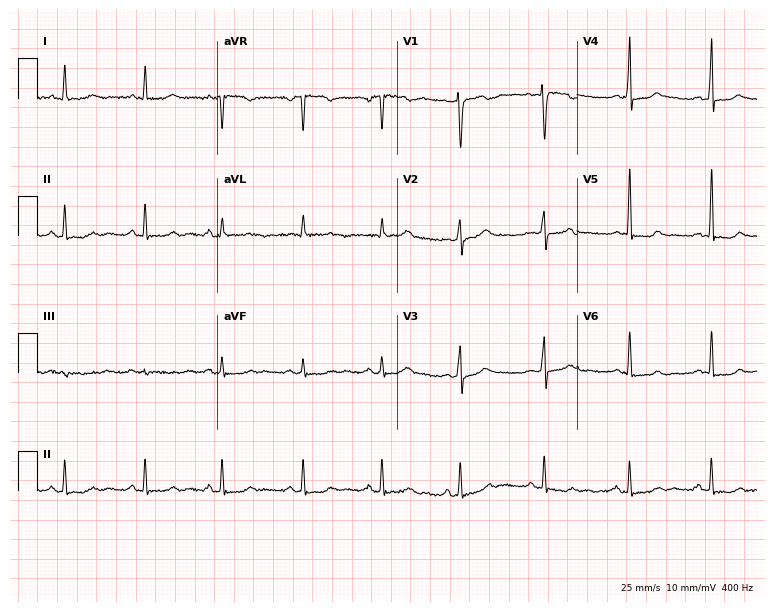
Standard 12-lead ECG recorded from a woman, 31 years old. None of these six findings is recorded: first-degree AV block, right bundle branch block, left bundle branch block, sinus bradycardia, atrial fibrillation, sinus tachycardia. Findings outside these six are not listed.